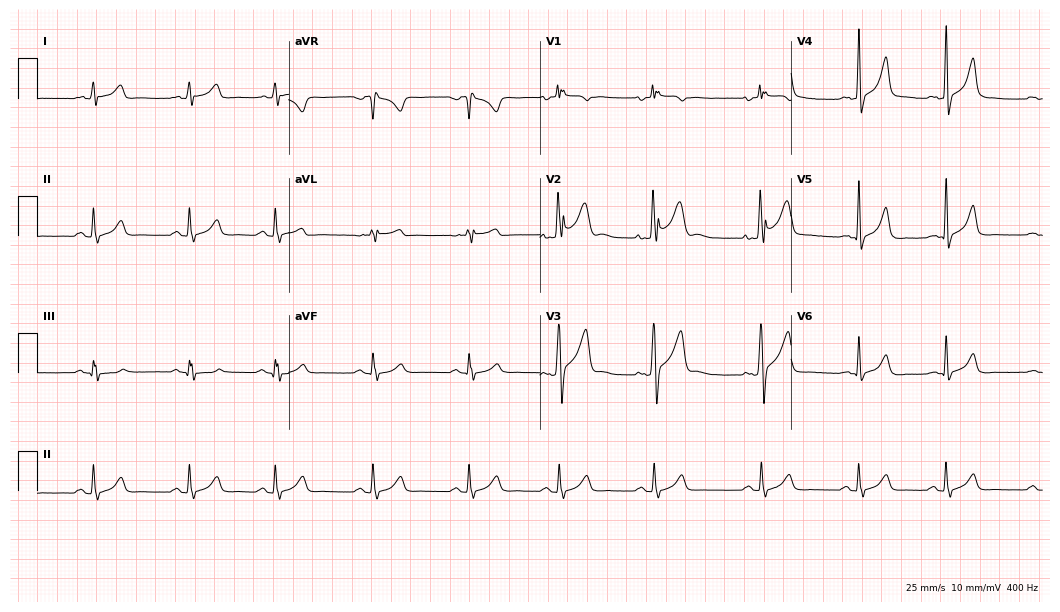
12-lead ECG from a 25-year-old man (10.2-second recording at 400 Hz). Recorded interpretation: within normal limits.